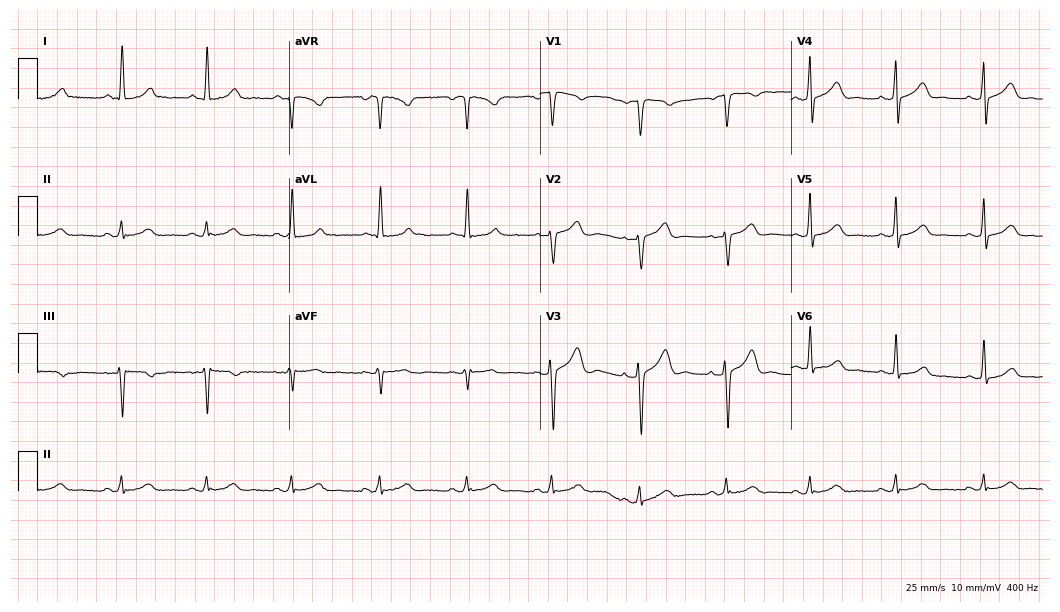
12-lead ECG from a 47-year-old woman (10.2-second recording at 400 Hz). Recorded interpretation: within normal limits.